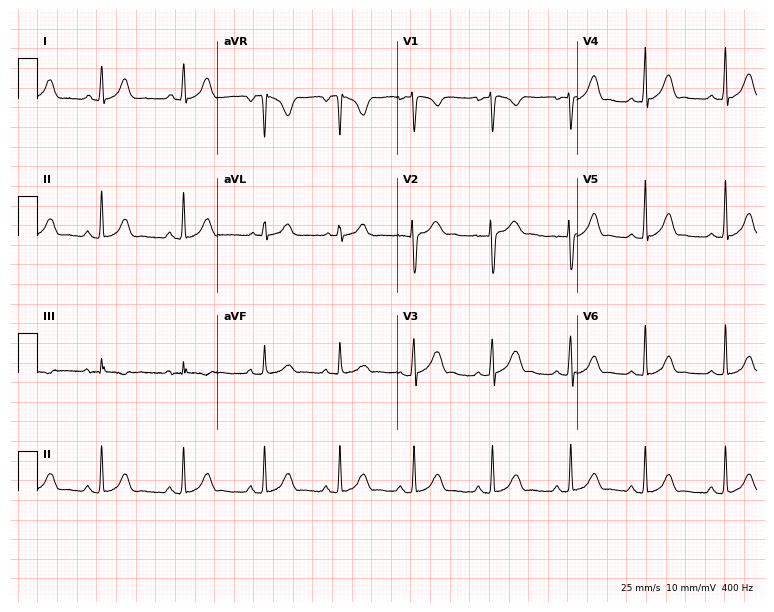
Standard 12-lead ECG recorded from a 19-year-old female patient. Read as a normal ECG.